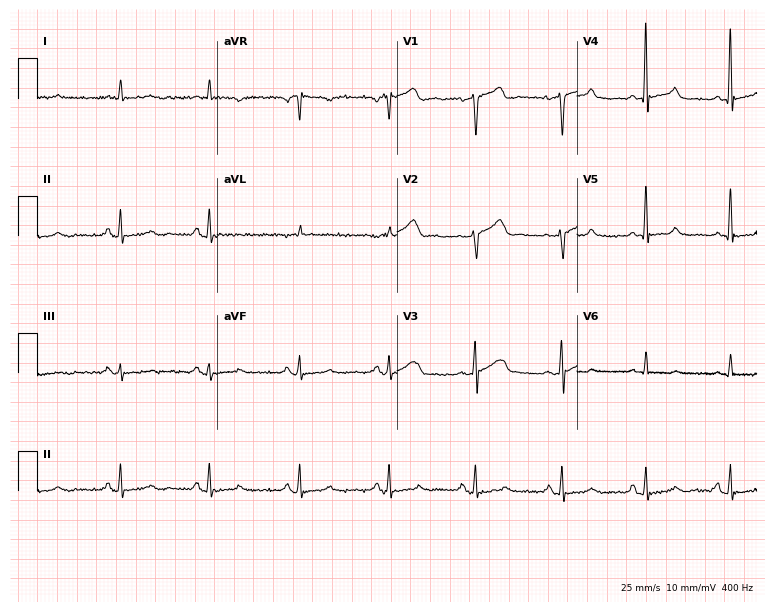
Electrocardiogram, a male, 55 years old. Overall reading on record: normal ECG.